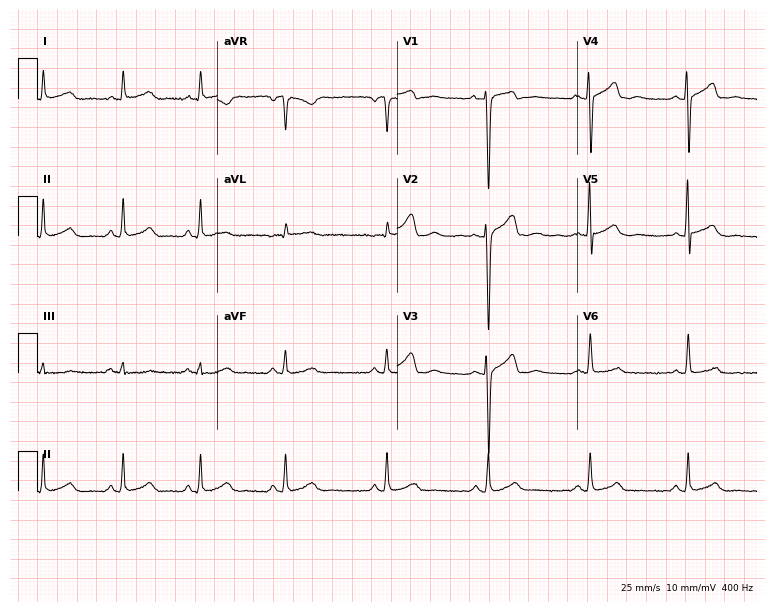
ECG (7.3-second recording at 400 Hz) — a 19-year-old male. Labelled as a normal ECG.